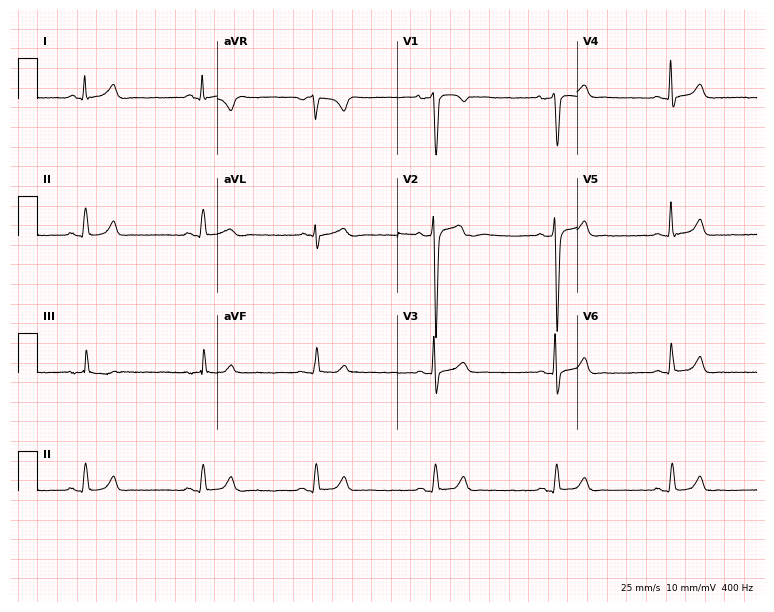
12-lead ECG from a 31-year-old man. Screened for six findings — first-degree AV block, right bundle branch block, left bundle branch block, sinus bradycardia, atrial fibrillation, sinus tachycardia — none is recorded. Other findings, if any, are not listed.